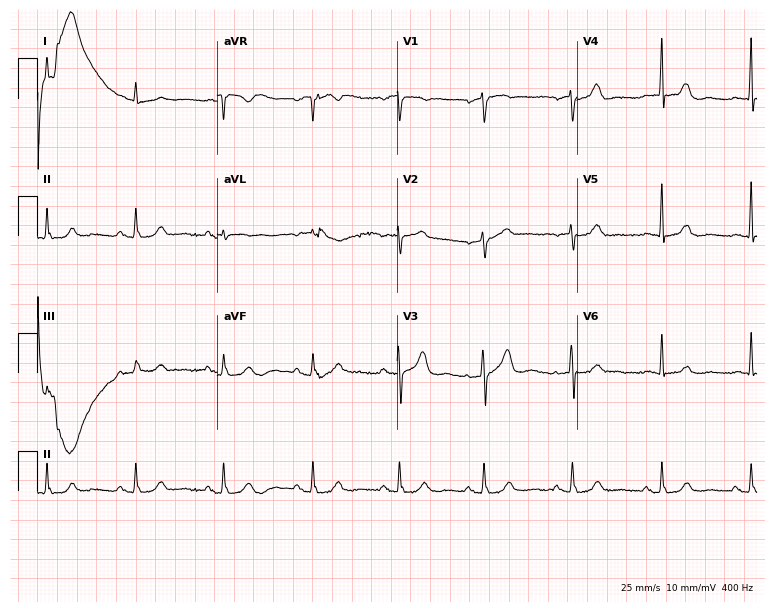
12-lead ECG from a male, 85 years old. Labelled as a normal ECG.